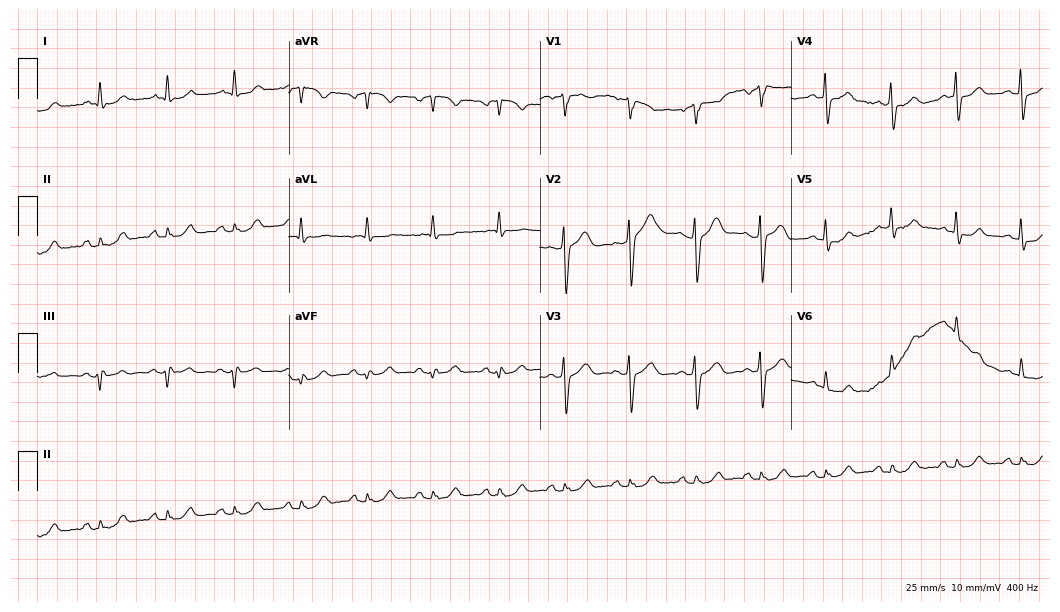
Resting 12-lead electrocardiogram. Patient: a male, 67 years old. Read as a normal ECG.